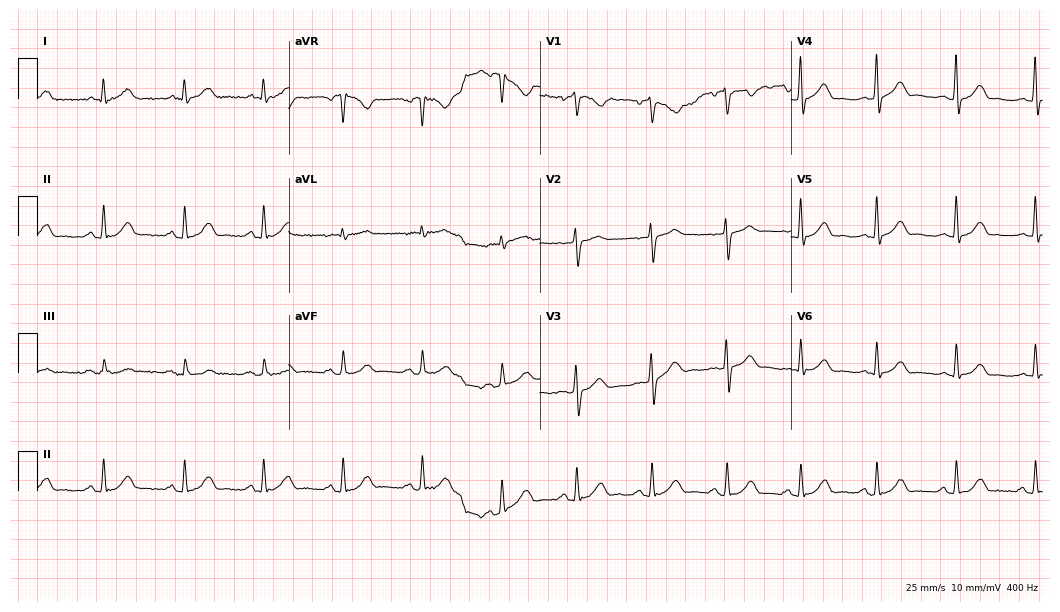
12-lead ECG from a 48-year-old male. No first-degree AV block, right bundle branch block, left bundle branch block, sinus bradycardia, atrial fibrillation or sinus tachycardia recorded for this tracing.